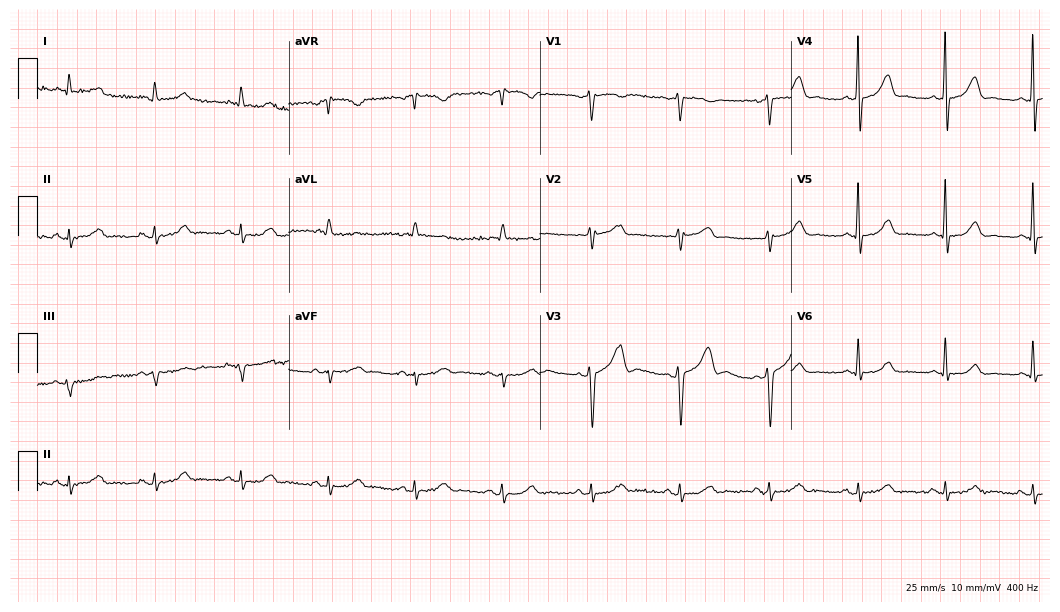
12-lead ECG from a 56-year-old woman (10.2-second recording at 400 Hz). No first-degree AV block, right bundle branch block, left bundle branch block, sinus bradycardia, atrial fibrillation or sinus tachycardia recorded for this tracing. Other findings, if any, are not listed.